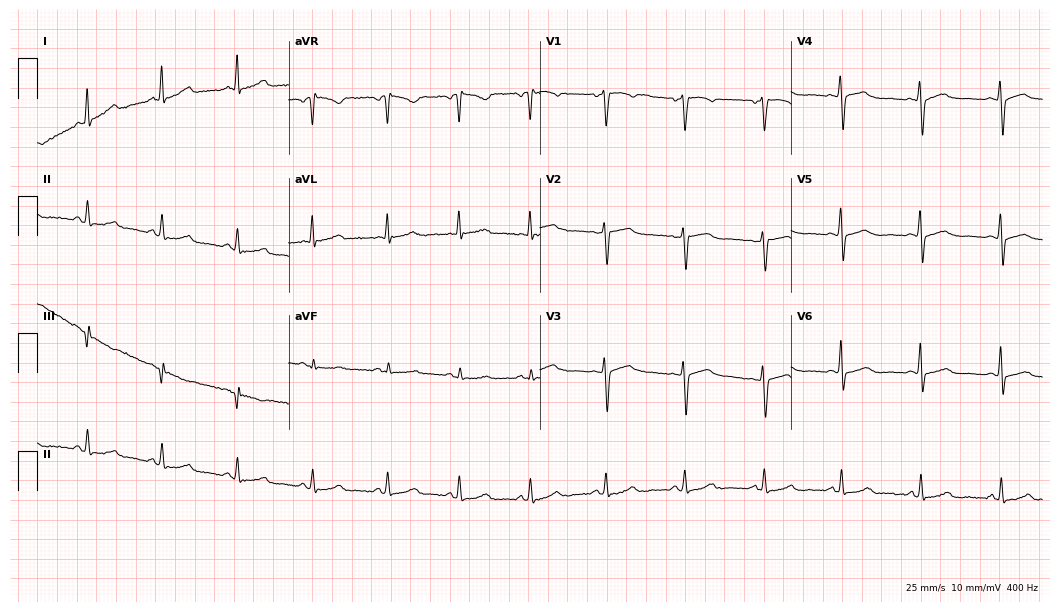
12-lead ECG from a 46-year-old female (10.2-second recording at 400 Hz). No first-degree AV block, right bundle branch block, left bundle branch block, sinus bradycardia, atrial fibrillation or sinus tachycardia recorded for this tracing. Only these six findings were labelled.